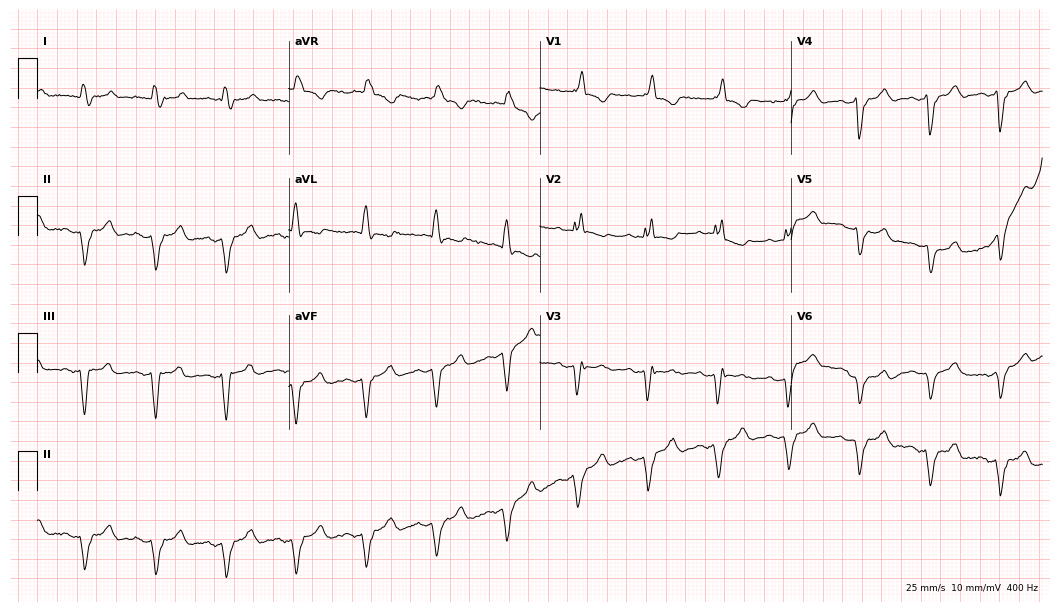
12-lead ECG from a woman, 73 years old. Shows right bundle branch block.